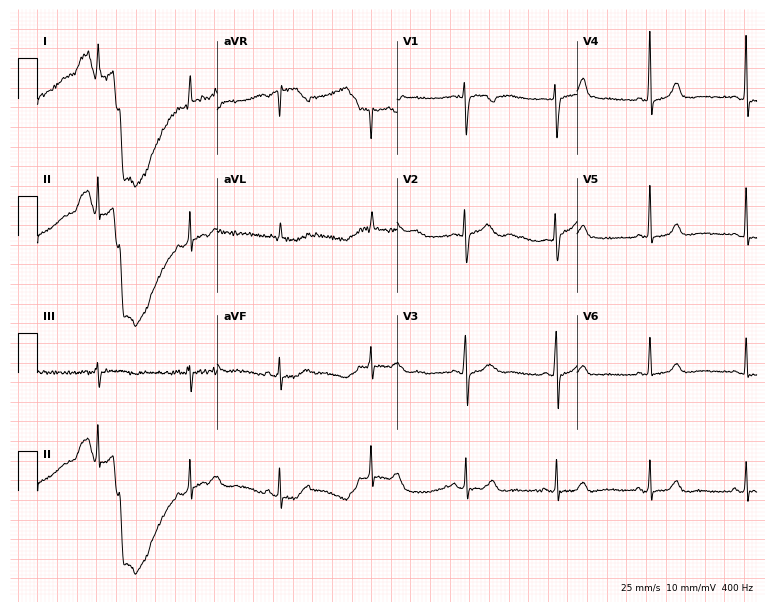
Standard 12-lead ECG recorded from a 62-year-old female patient. Read as a normal ECG.